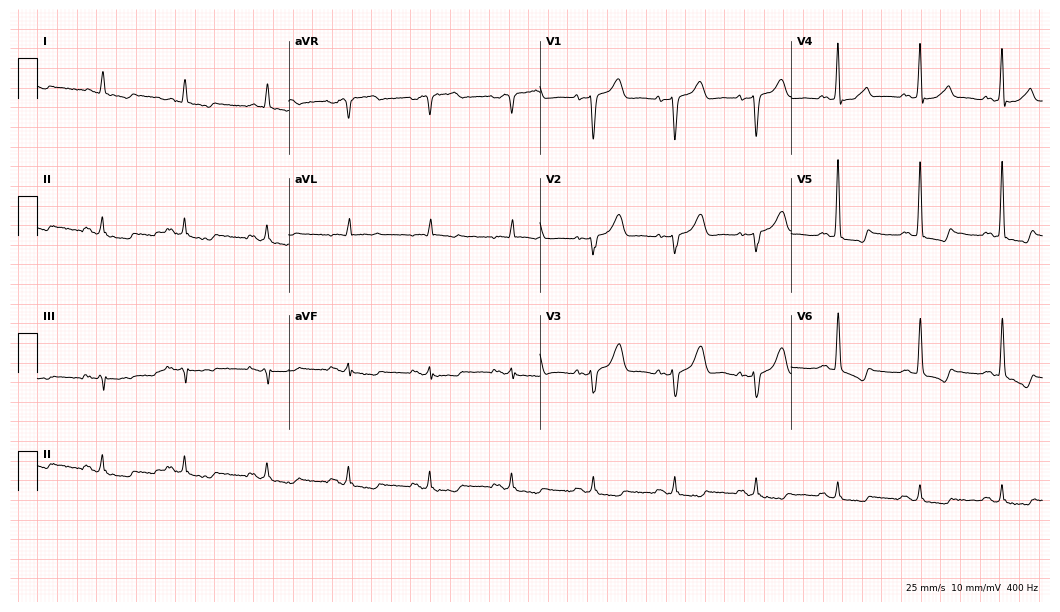
Standard 12-lead ECG recorded from a 74-year-old male patient. None of these six findings is recorded: first-degree AV block, right bundle branch block (RBBB), left bundle branch block (LBBB), sinus bradycardia, atrial fibrillation (AF), sinus tachycardia.